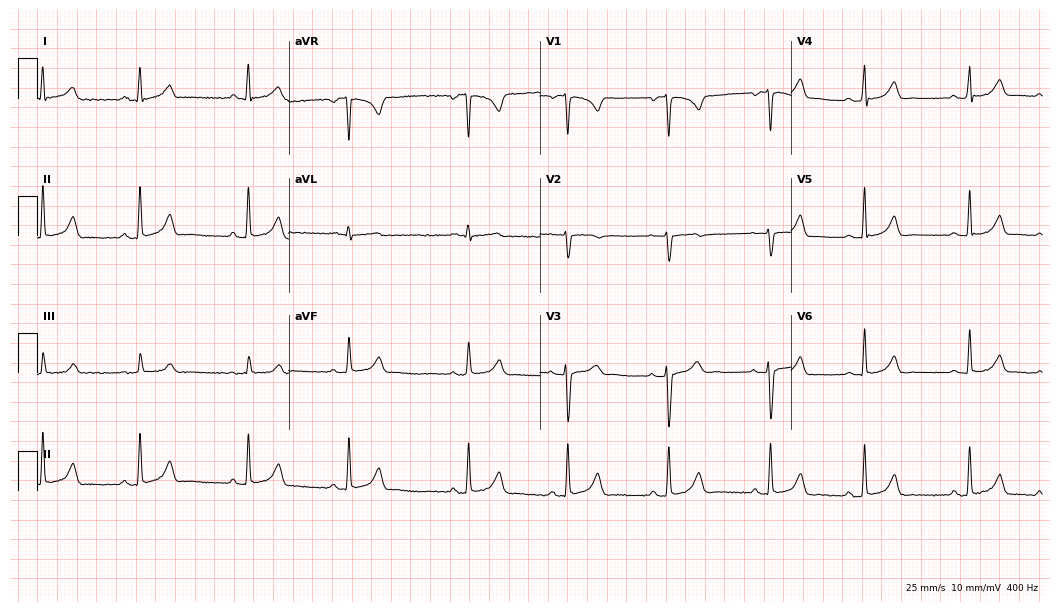
12-lead ECG (10.2-second recording at 400 Hz) from a female patient, 26 years old. Labelled as a normal ECG.